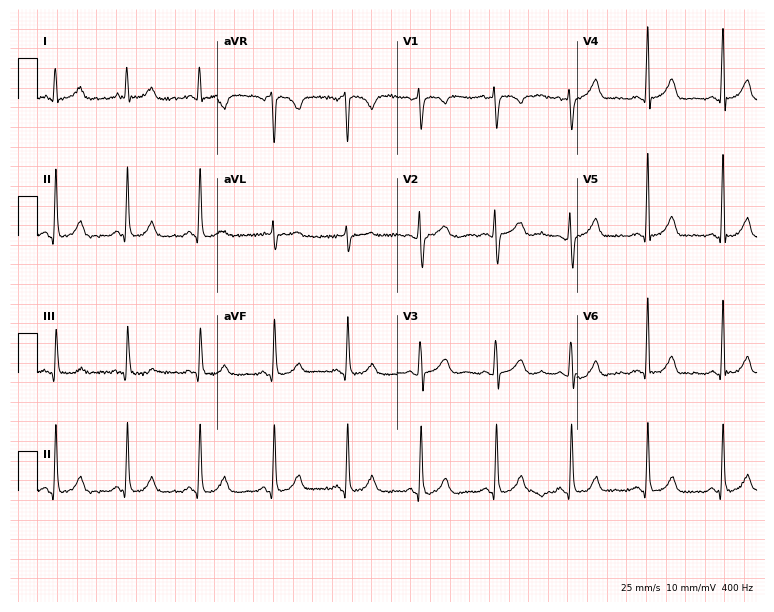
12-lead ECG (7.3-second recording at 400 Hz) from a female, 46 years old. Labelled as a normal ECG.